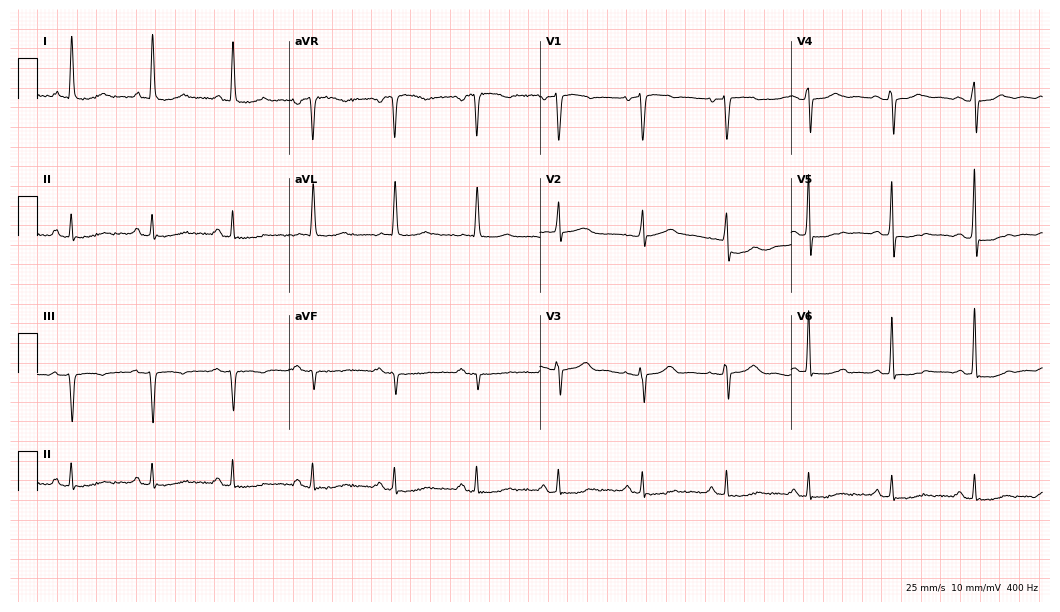
12-lead ECG (10.2-second recording at 400 Hz) from a female patient, 73 years old. Screened for six findings — first-degree AV block, right bundle branch block (RBBB), left bundle branch block (LBBB), sinus bradycardia, atrial fibrillation (AF), sinus tachycardia — none is recorded. Findings outside these six are not listed.